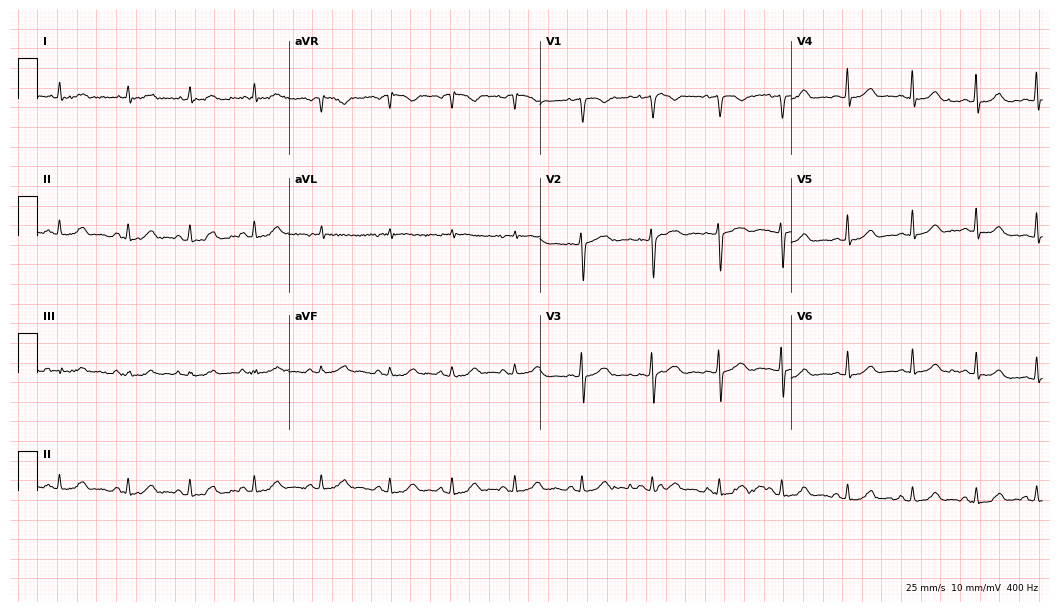
ECG (10.2-second recording at 400 Hz) — a female patient, 45 years old. Labelled as a normal ECG.